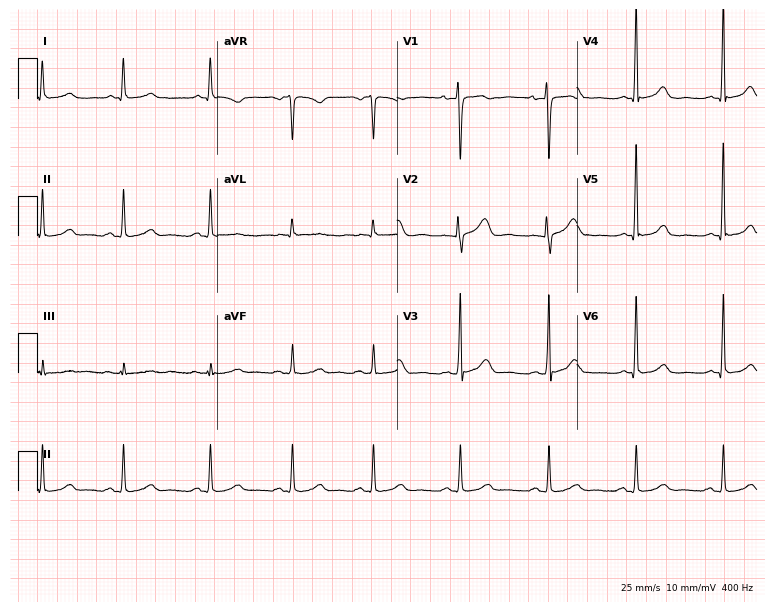
12-lead ECG from a woman, 35 years old. Recorded interpretation: within normal limits.